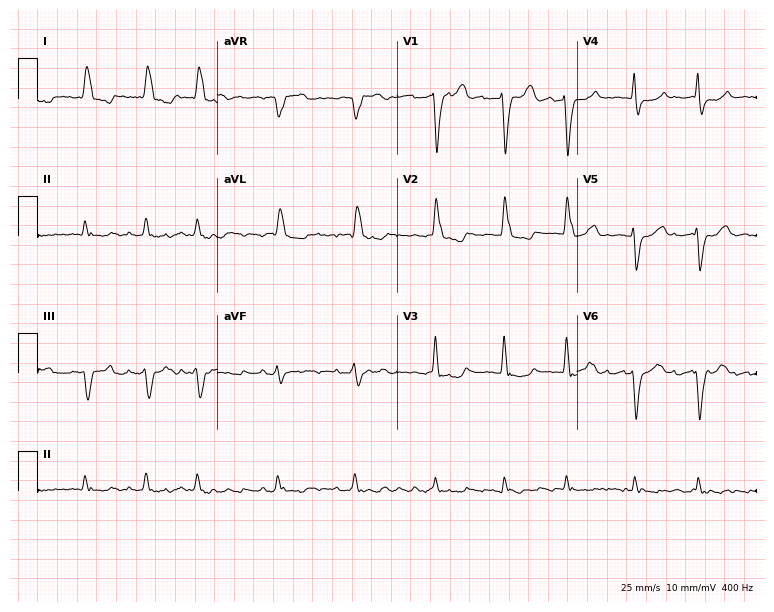
12-lead ECG from a female patient, 76 years old. No first-degree AV block, right bundle branch block, left bundle branch block, sinus bradycardia, atrial fibrillation or sinus tachycardia recorded for this tracing. Other findings, if any, are not listed.